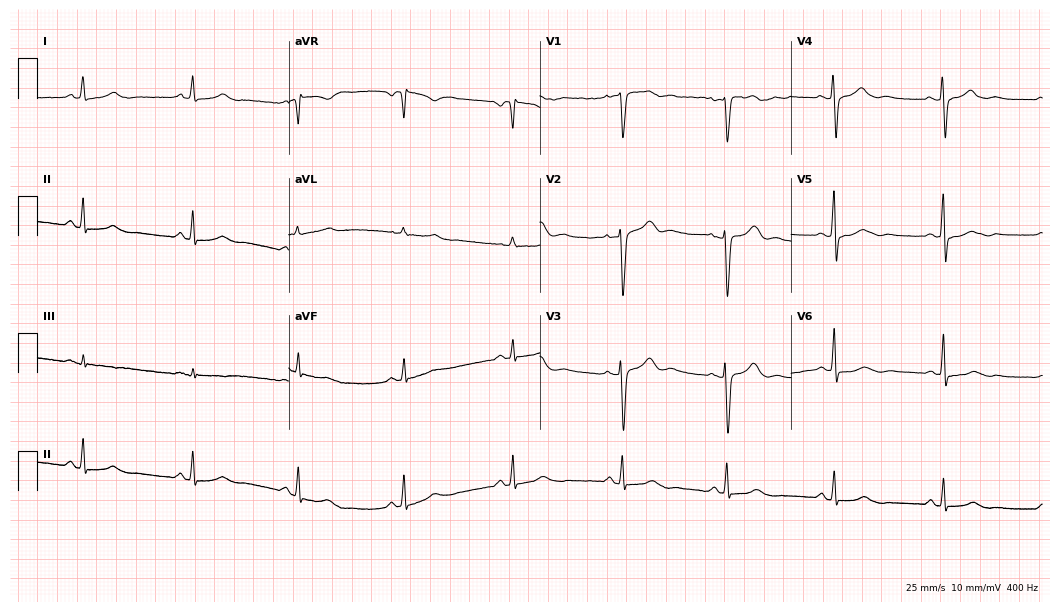
12-lead ECG from a 43-year-old woman. Screened for six findings — first-degree AV block, right bundle branch block, left bundle branch block, sinus bradycardia, atrial fibrillation, sinus tachycardia — none is recorded.